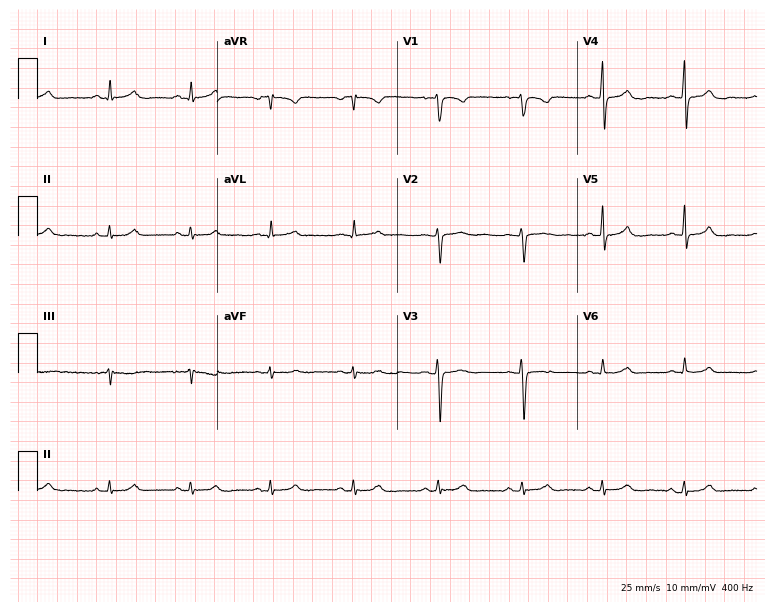
12-lead ECG from a 36-year-old female. Labelled as a normal ECG.